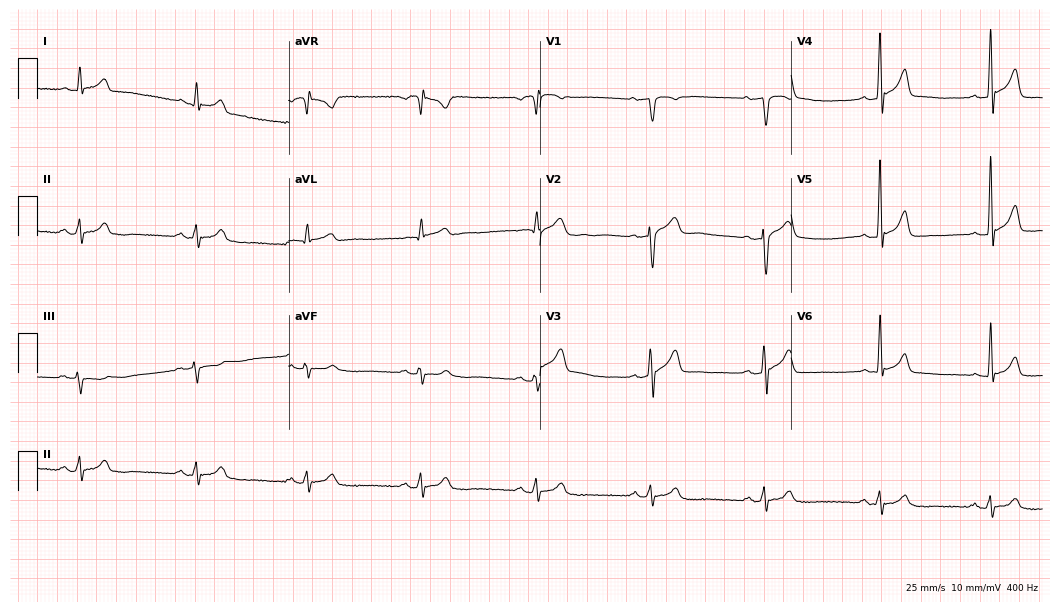
12-lead ECG from a man, 37 years old (10.2-second recording at 400 Hz). No first-degree AV block, right bundle branch block, left bundle branch block, sinus bradycardia, atrial fibrillation or sinus tachycardia recorded for this tracing.